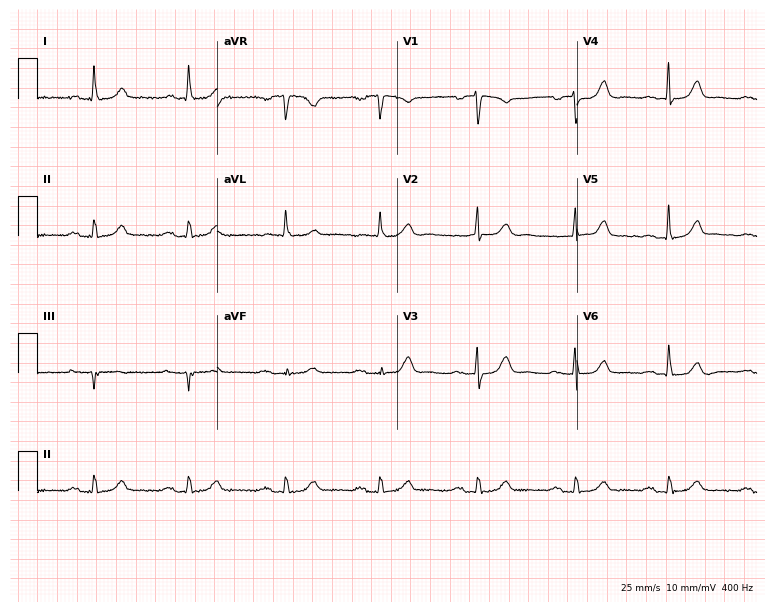
Electrocardiogram, a female, 78 years old. Overall reading on record: normal ECG.